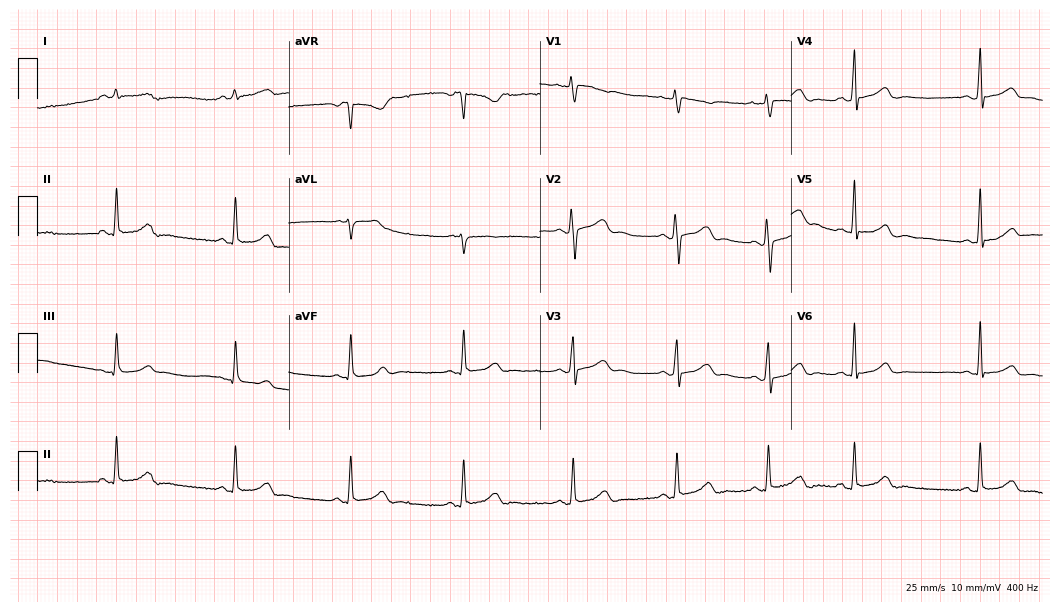
Electrocardiogram, a 29-year-old female patient. Overall reading on record: normal ECG.